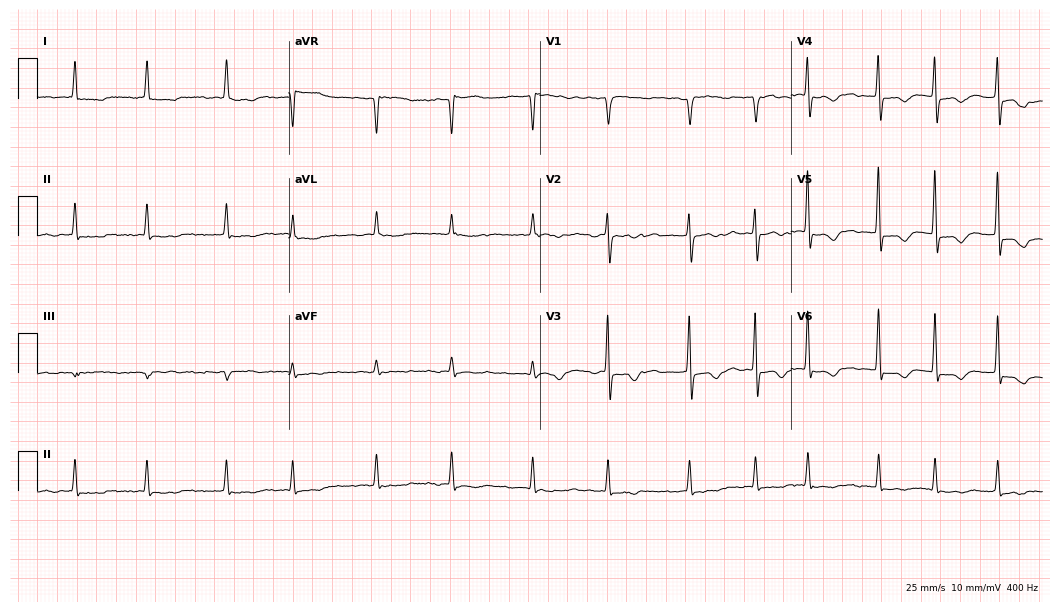
12-lead ECG from a 77-year-old female. Shows atrial fibrillation.